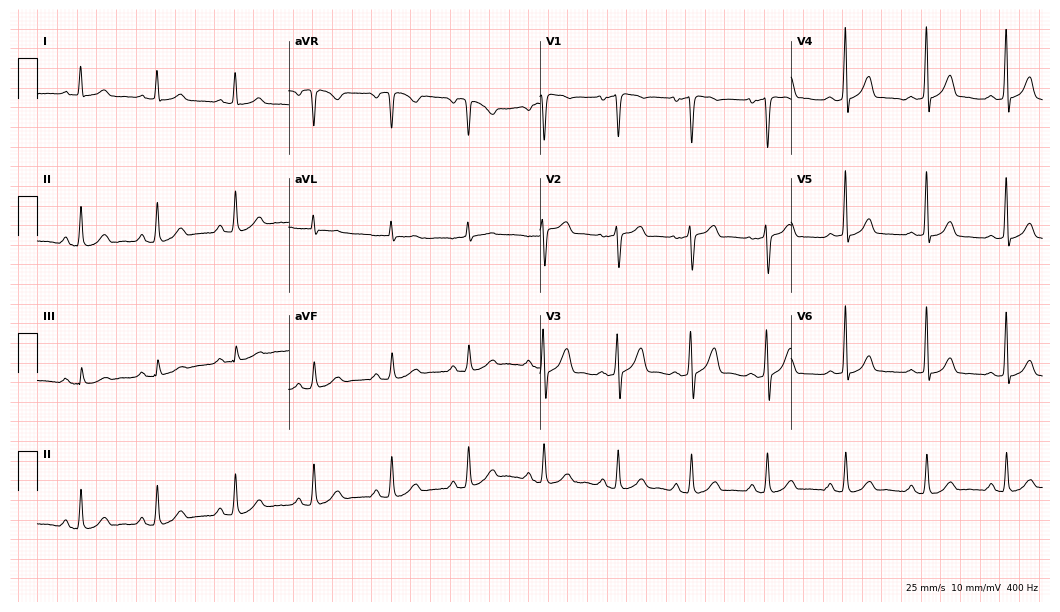
Standard 12-lead ECG recorded from a 44-year-old man. Read as a normal ECG.